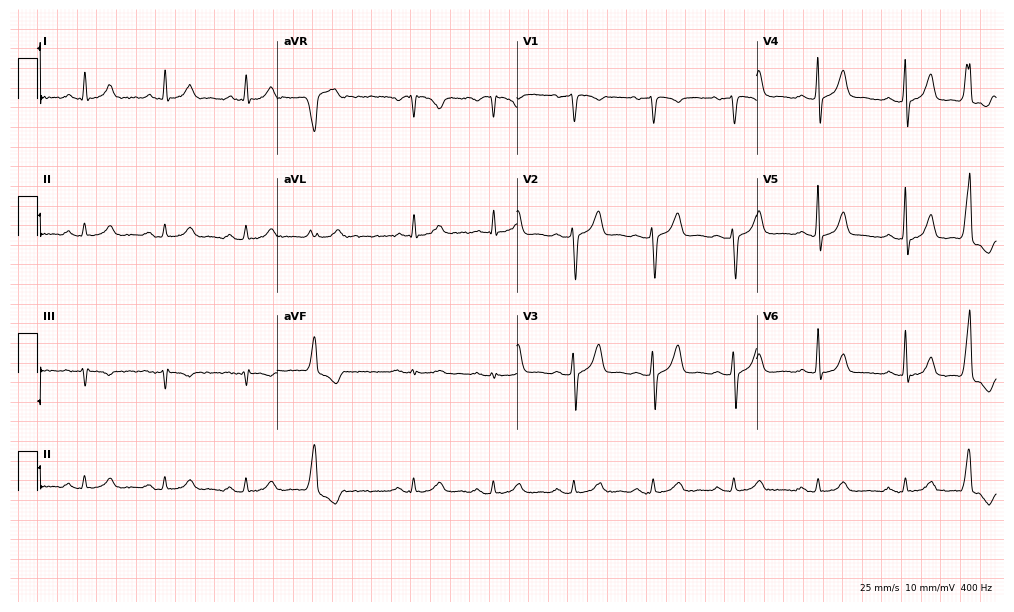
12-lead ECG from a male patient, 74 years old (9.8-second recording at 400 Hz). No first-degree AV block, right bundle branch block (RBBB), left bundle branch block (LBBB), sinus bradycardia, atrial fibrillation (AF) or sinus tachycardia recorded for this tracing.